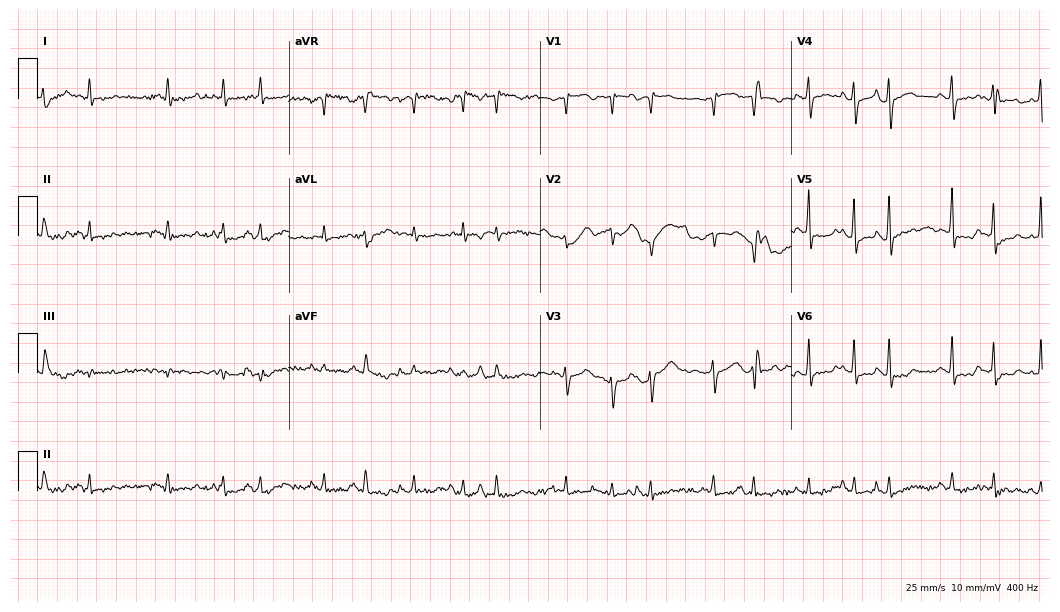
12-lead ECG from a female, 83 years old. Shows atrial fibrillation, sinus tachycardia (a sinus rate of 100 beats per minute or more).